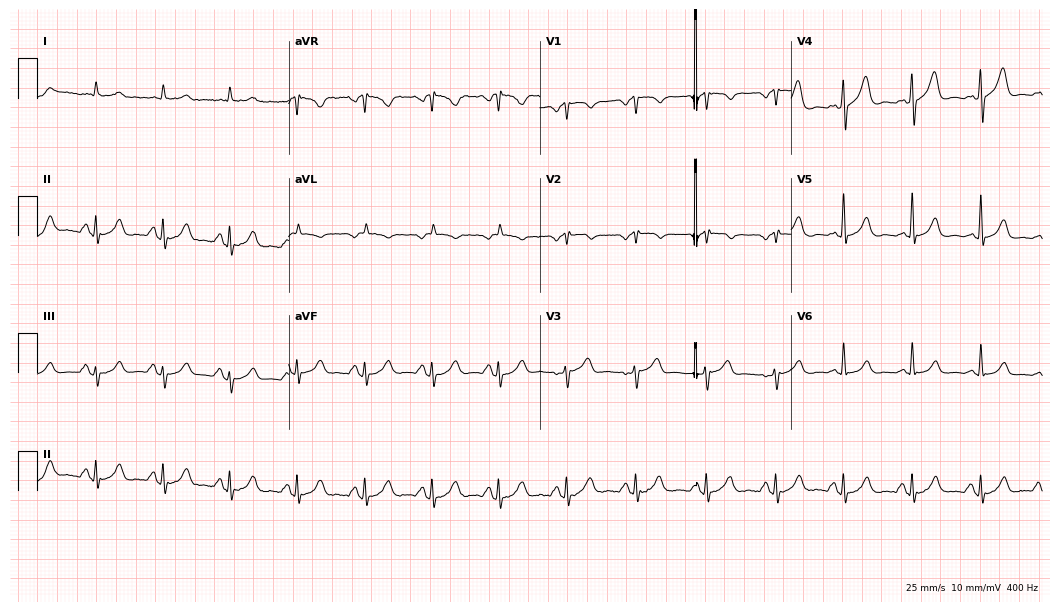
Resting 12-lead electrocardiogram (10.2-second recording at 400 Hz). Patient: a male, 49 years old. Read as a normal ECG.